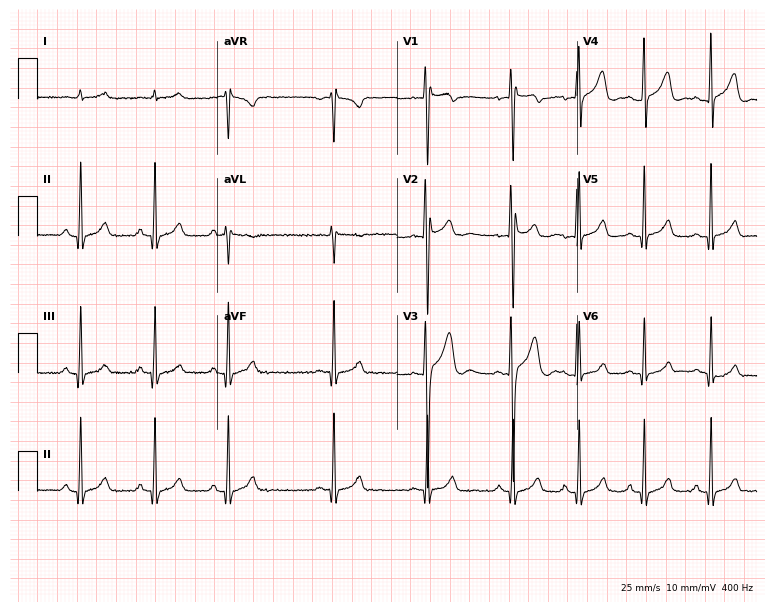
Electrocardiogram, a man, 24 years old. Overall reading on record: normal ECG.